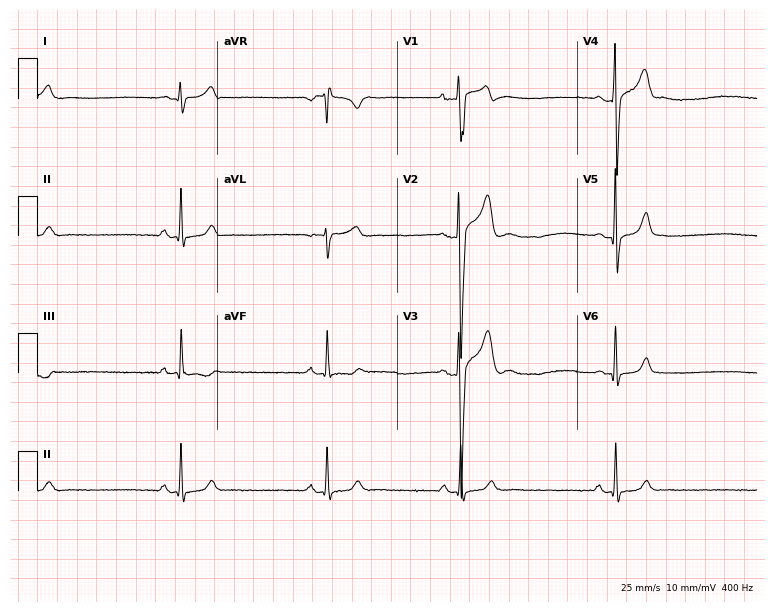
12-lead ECG from a male, 20 years old (7.3-second recording at 400 Hz). Shows sinus bradycardia (a sinus rate of 50 beats per minute or less).